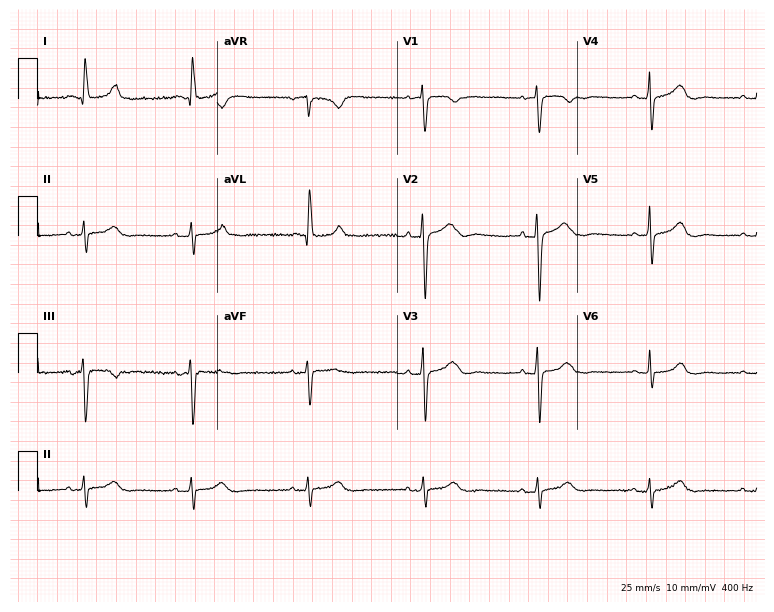
12-lead ECG from a female, 83 years old. Recorded interpretation: within normal limits.